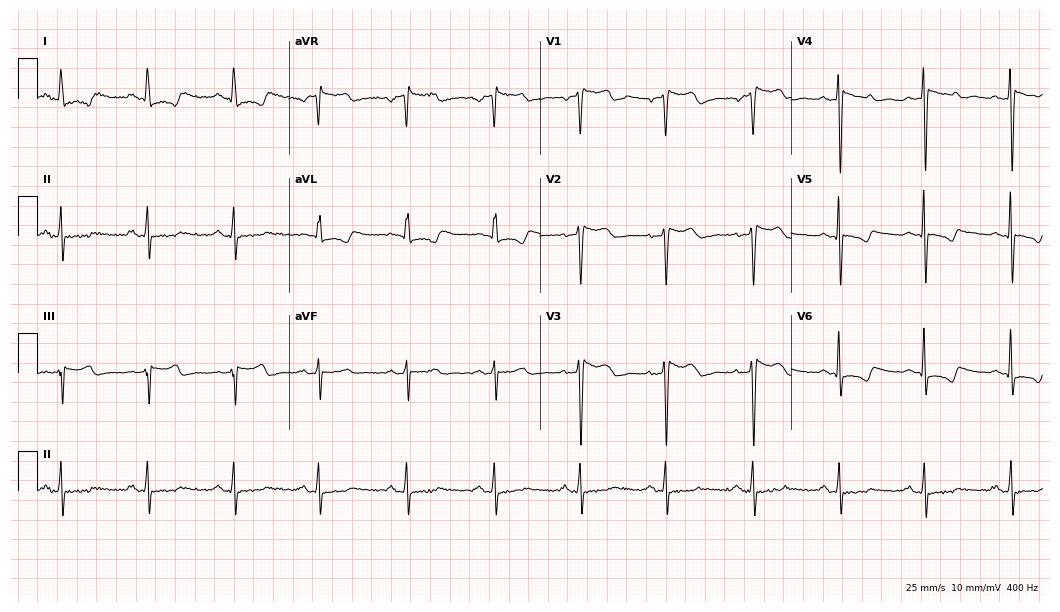
Resting 12-lead electrocardiogram. Patient: a 51-year-old woman. None of these six findings is recorded: first-degree AV block, right bundle branch block, left bundle branch block, sinus bradycardia, atrial fibrillation, sinus tachycardia.